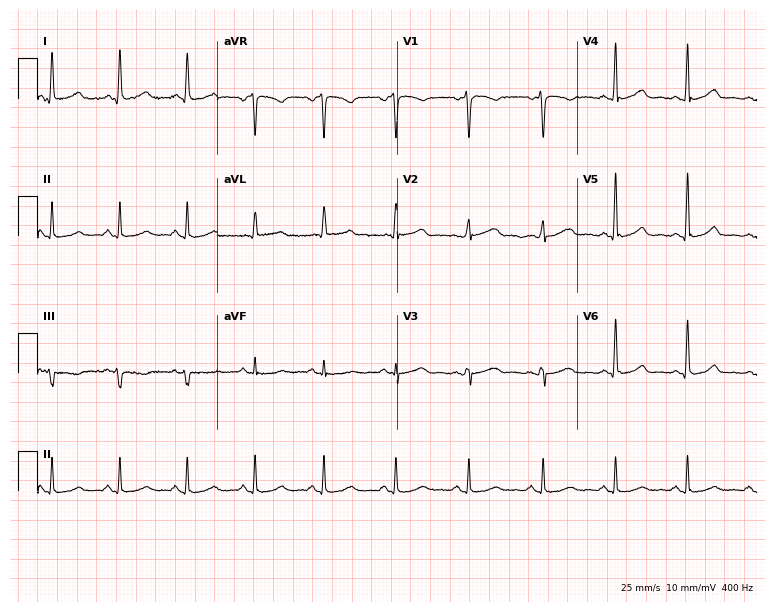
12-lead ECG from a 40-year-old female patient (7.3-second recording at 400 Hz). No first-degree AV block, right bundle branch block (RBBB), left bundle branch block (LBBB), sinus bradycardia, atrial fibrillation (AF) or sinus tachycardia recorded for this tracing.